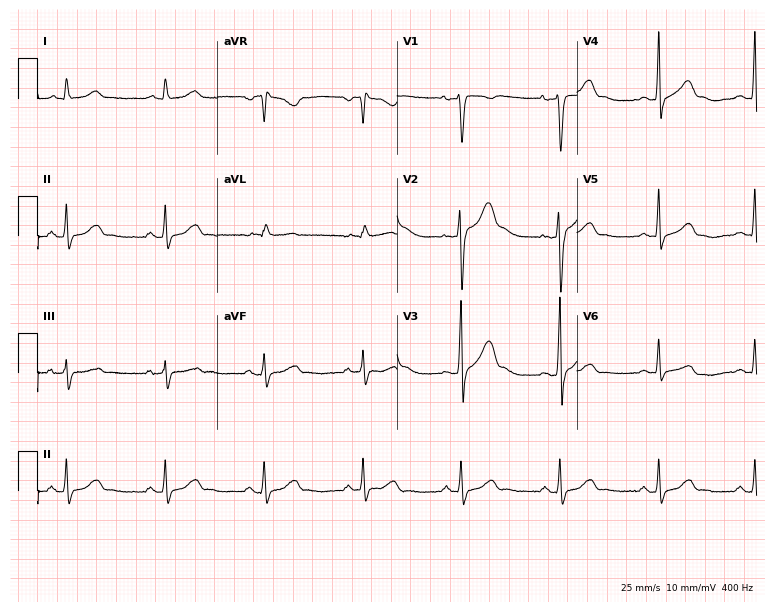
Electrocardiogram (7.3-second recording at 400 Hz), a 55-year-old male. Of the six screened findings (first-degree AV block, right bundle branch block, left bundle branch block, sinus bradycardia, atrial fibrillation, sinus tachycardia), none is recorded. Findings outside these six are not listed.